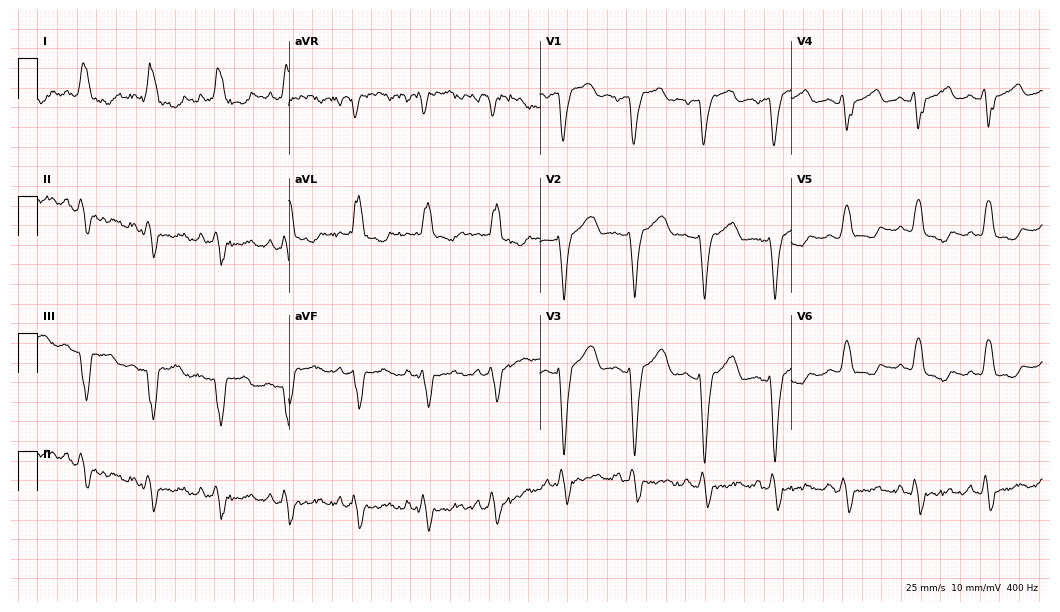
Standard 12-lead ECG recorded from a 65-year-old female. The tracing shows left bundle branch block.